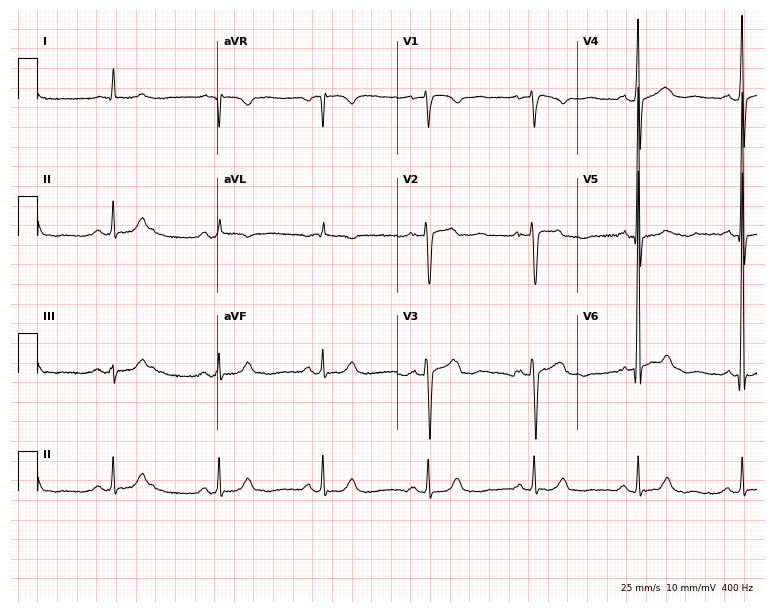
ECG (7.3-second recording at 400 Hz) — a man, 79 years old. Screened for six findings — first-degree AV block, right bundle branch block, left bundle branch block, sinus bradycardia, atrial fibrillation, sinus tachycardia — none is recorded. Only these six findings were labelled.